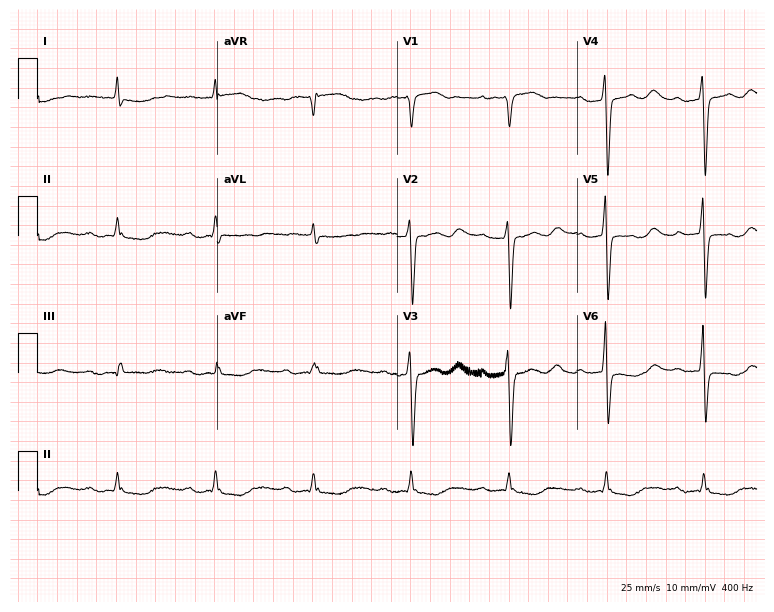
12-lead ECG (7.3-second recording at 400 Hz) from a man, 77 years old. Findings include first-degree AV block.